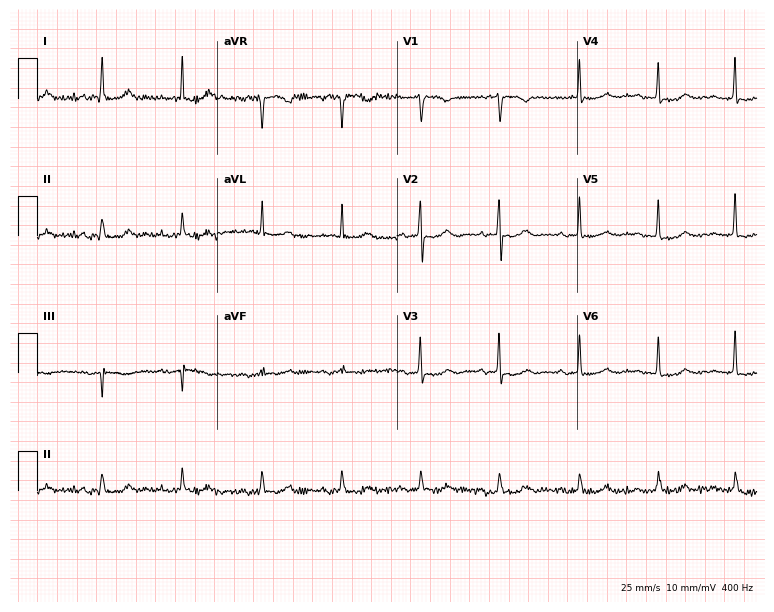
12-lead ECG from a female patient, 78 years old. Recorded interpretation: within normal limits.